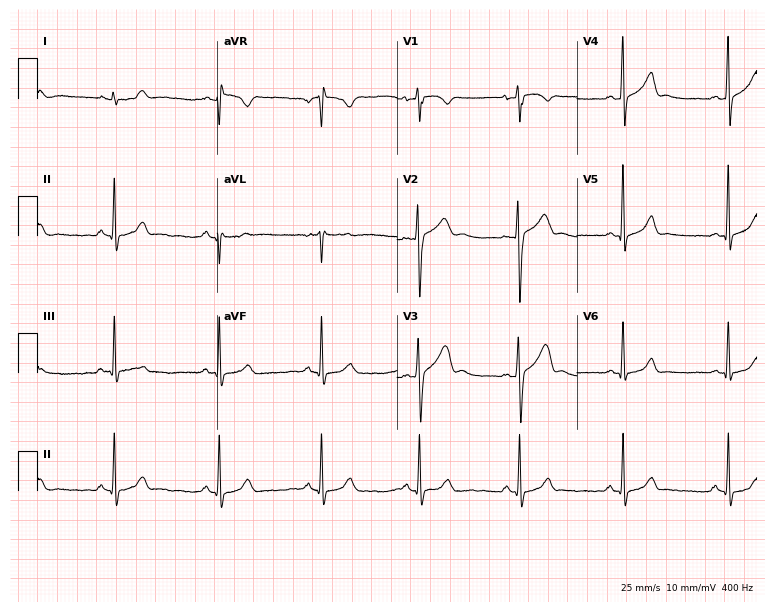
Resting 12-lead electrocardiogram. Patient: a 30-year-old male. Read as a normal ECG.